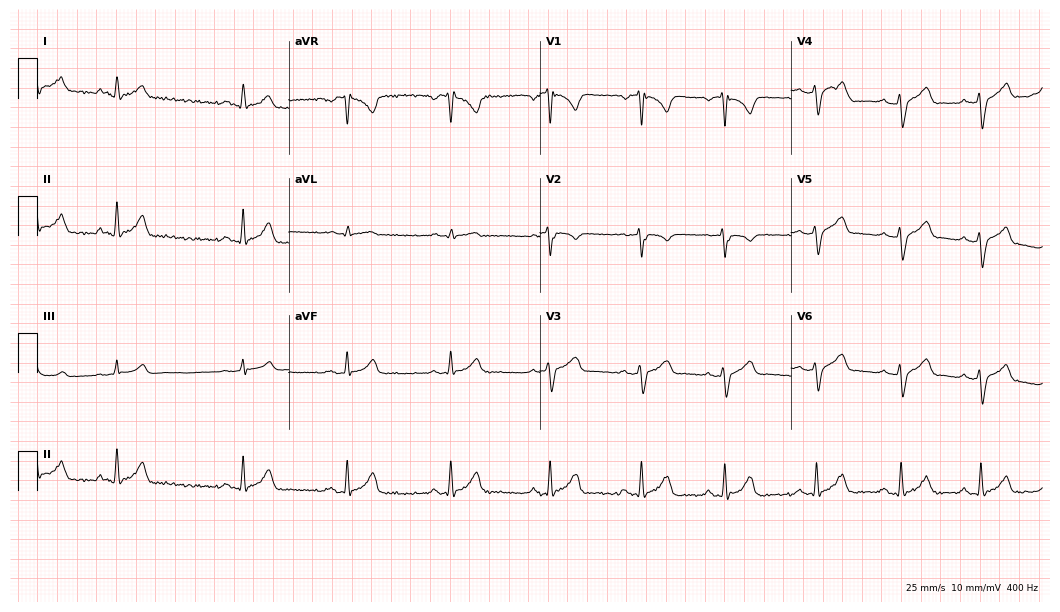
ECG — a 23-year-old male. Screened for six findings — first-degree AV block, right bundle branch block, left bundle branch block, sinus bradycardia, atrial fibrillation, sinus tachycardia — none is recorded. Findings outside these six are not listed.